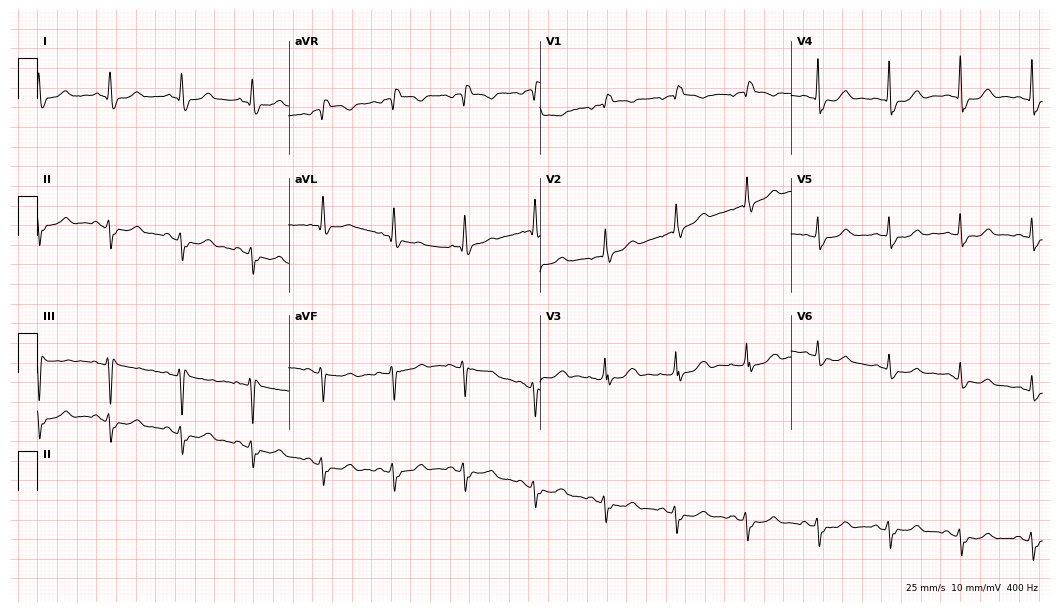
ECG — a female patient, 60 years old. Findings include right bundle branch block (RBBB).